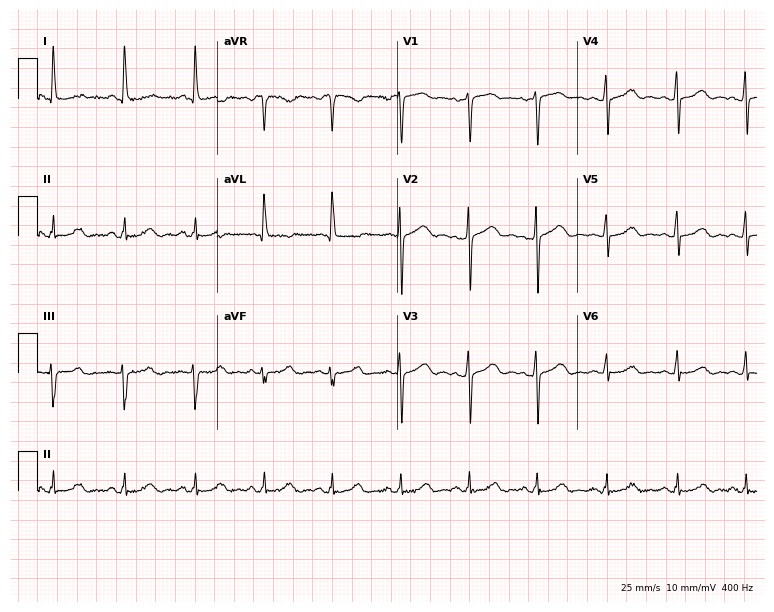
Electrocardiogram (7.3-second recording at 400 Hz), a 60-year-old female. Overall reading on record: normal ECG.